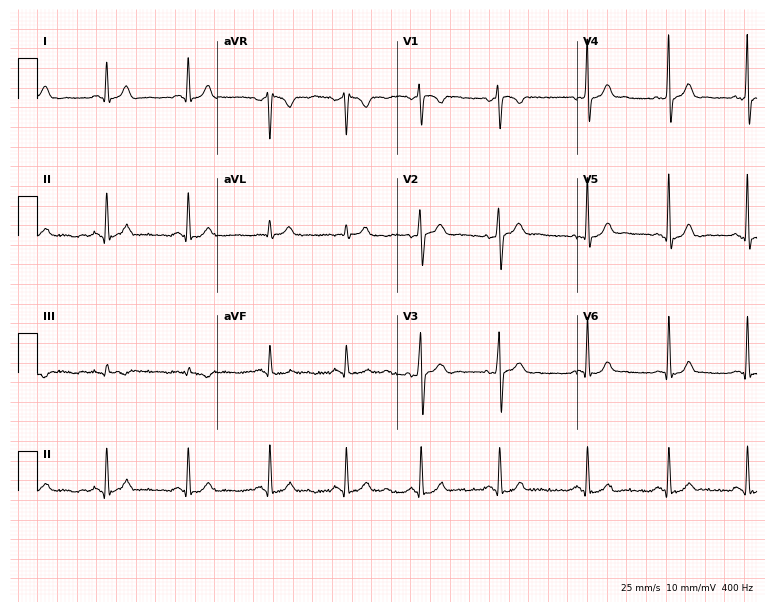
ECG — a male, 43 years old. Labelled as a normal ECG.